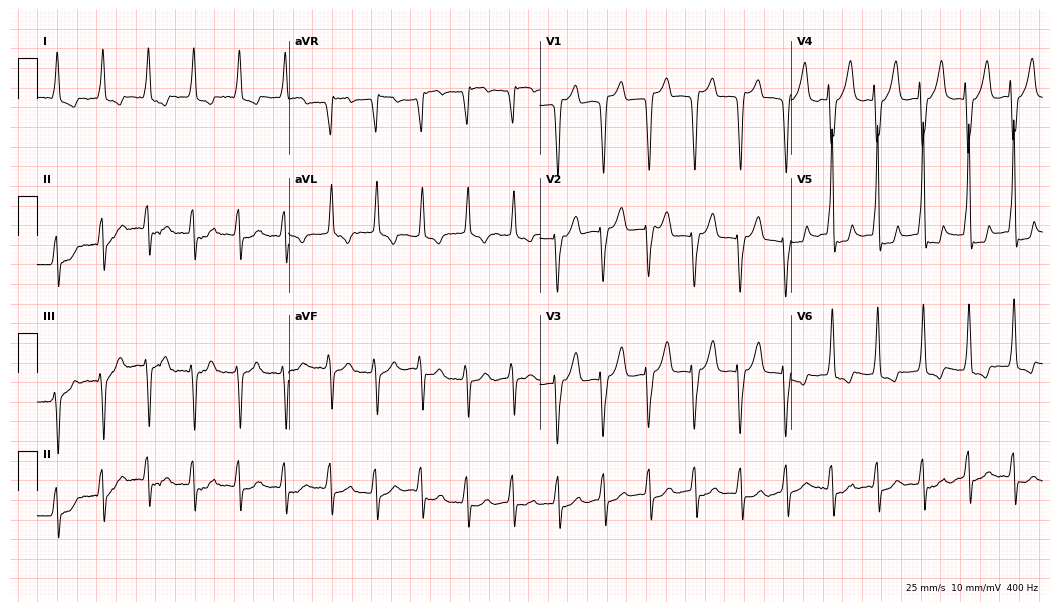
Electrocardiogram (10.2-second recording at 400 Hz), an 82-year-old female patient. Interpretation includes sinus tachycardia (a sinus rate of 100 beats per minute or more).